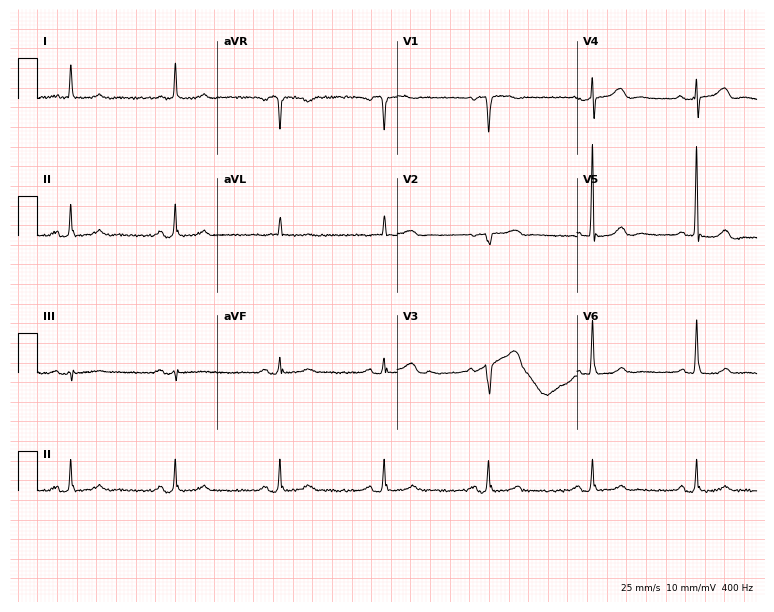
Resting 12-lead electrocardiogram (7.3-second recording at 400 Hz). Patient: a female, 82 years old. None of these six findings is recorded: first-degree AV block, right bundle branch block, left bundle branch block, sinus bradycardia, atrial fibrillation, sinus tachycardia. Only these six findings were labelled.